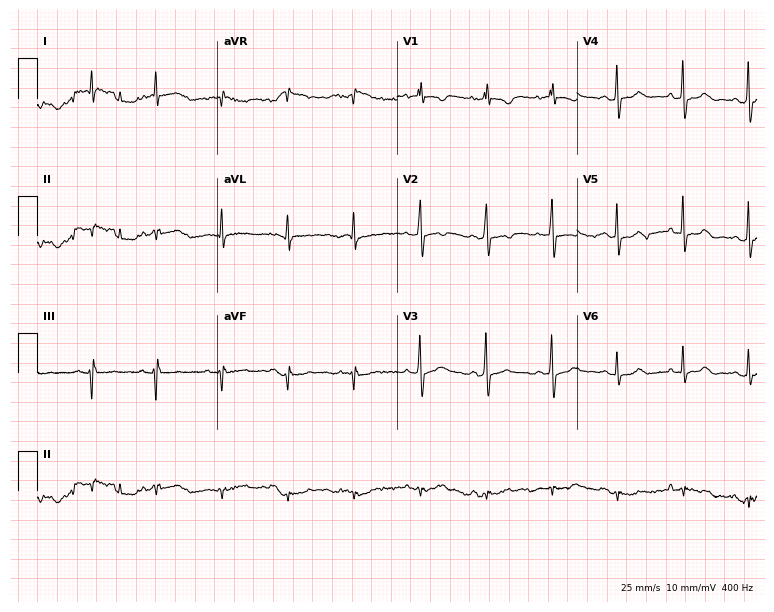
Standard 12-lead ECG recorded from a 54-year-old man (7.3-second recording at 400 Hz). None of these six findings is recorded: first-degree AV block, right bundle branch block, left bundle branch block, sinus bradycardia, atrial fibrillation, sinus tachycardia.